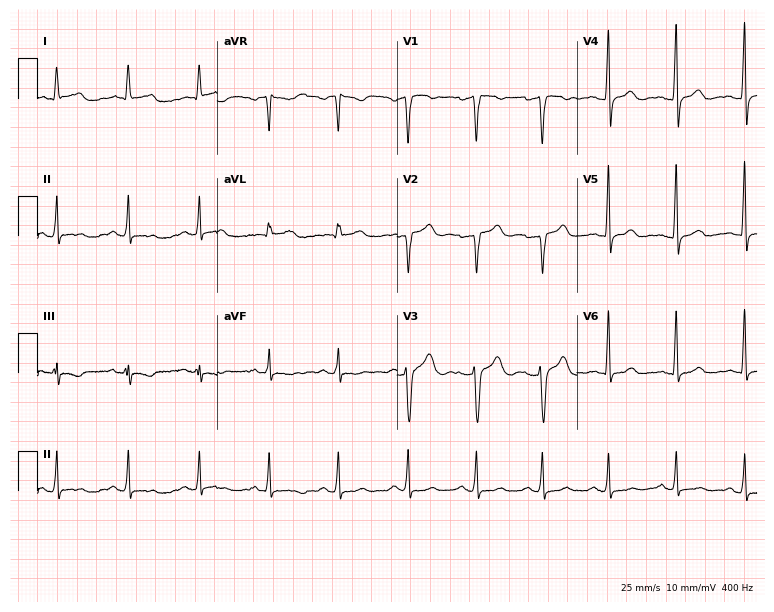
Electrocardiogram, a 47-year-old man. Of the six screened findings (first-degree AV block, right bundle branch block, left bundle branch block, sinus bradycardia, atrial fibrillation, sinus tachycardia), none is recorded.